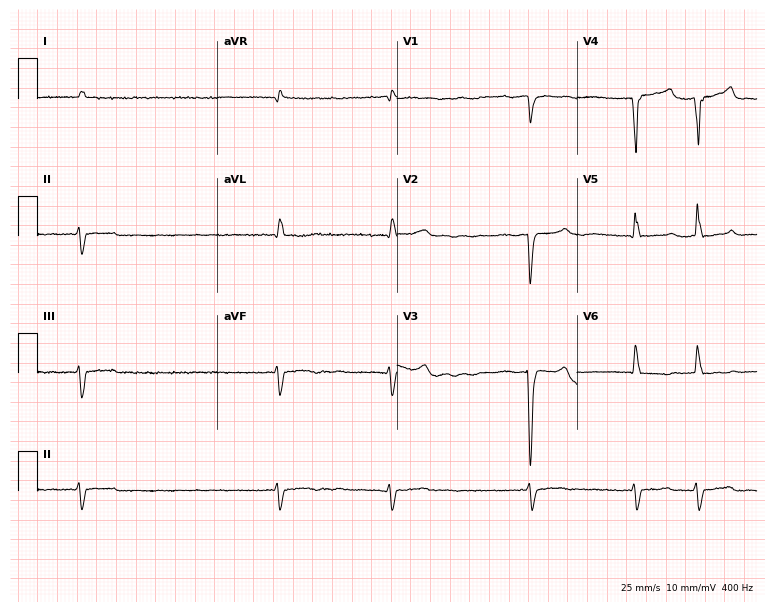
ECG — an 82-year-old male patient. Findings include atrial fibrillation (AF).